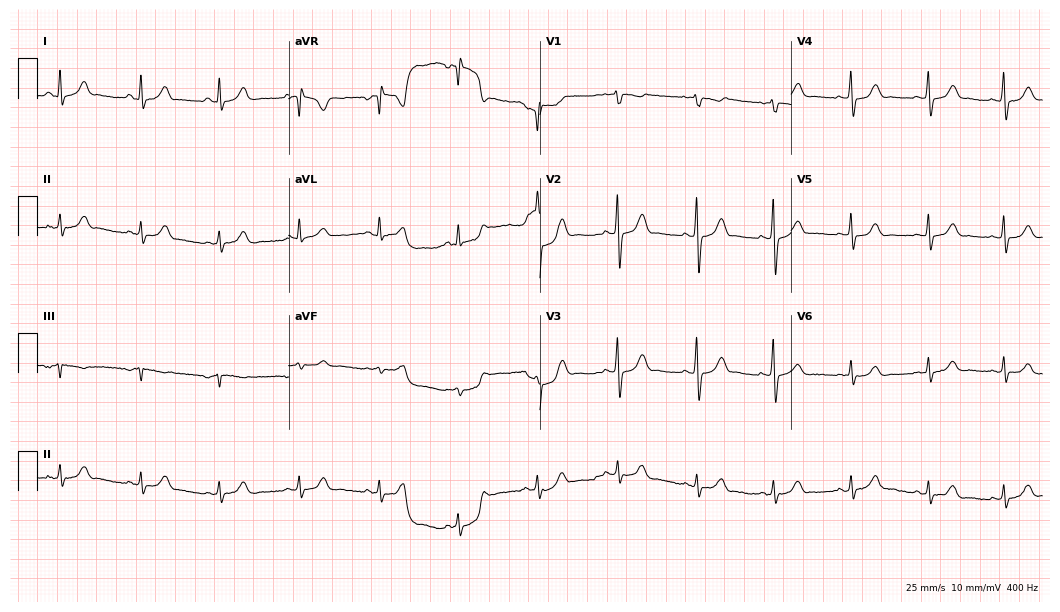
ECG (10.2-second recording at 400 Hz) — an 18-year-old woman. Labelled as a normal ECG.